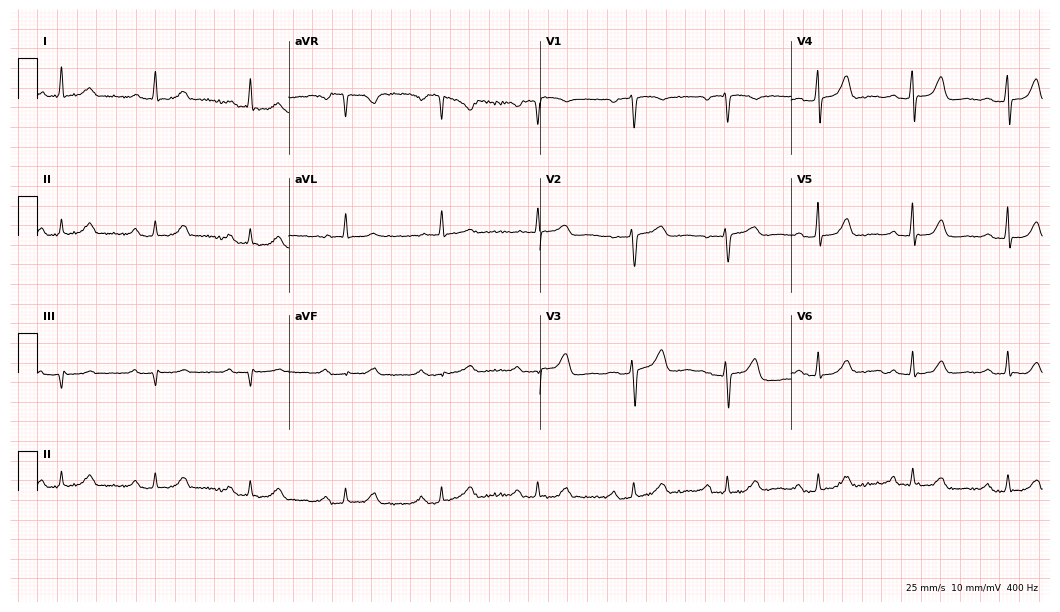
Resting 12-lead electrocardiogram. Patient: a female, 75 years old. The tracing shows first-degree AV block.